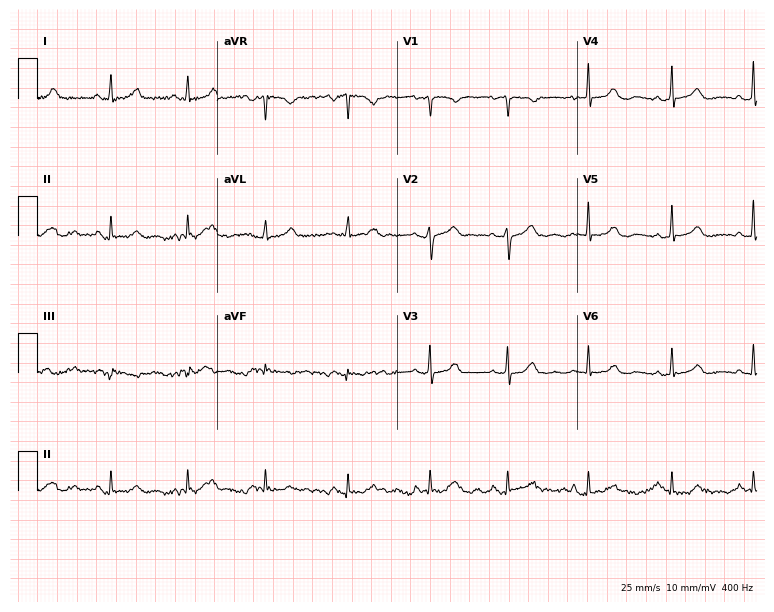
ECG — a female patient, 40 years old. Labelled as a normal ECG.